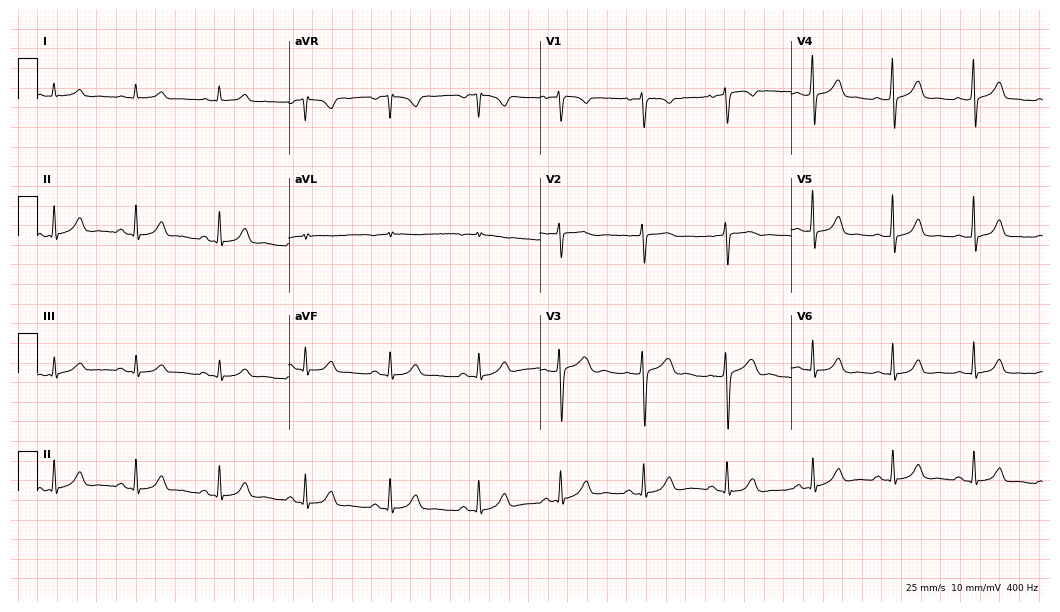
12-lead ECG (10.2-second recording at 400 Hz) from a woman, 23 years old. Labelled as a normal ECG.